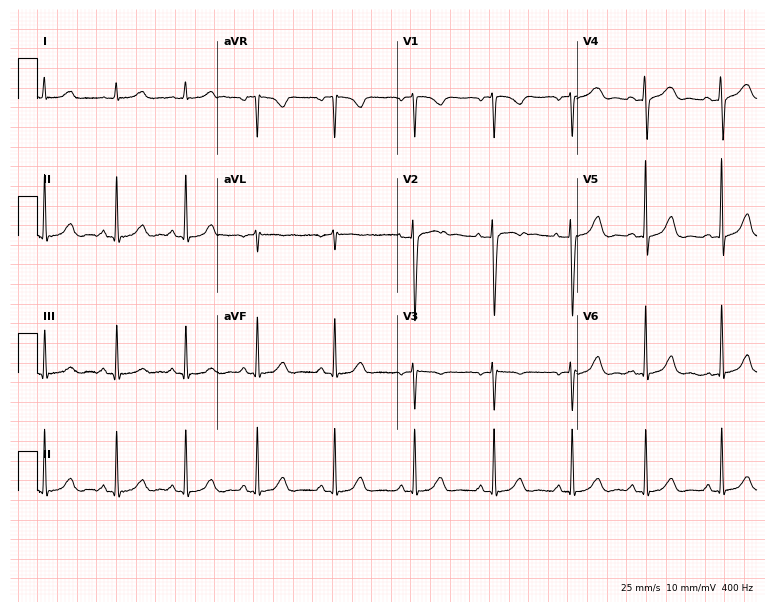
12-lead ECG (7.3-second recording at 400 Hz) from a 39-year-old woman. Labelled as a normal ECG.